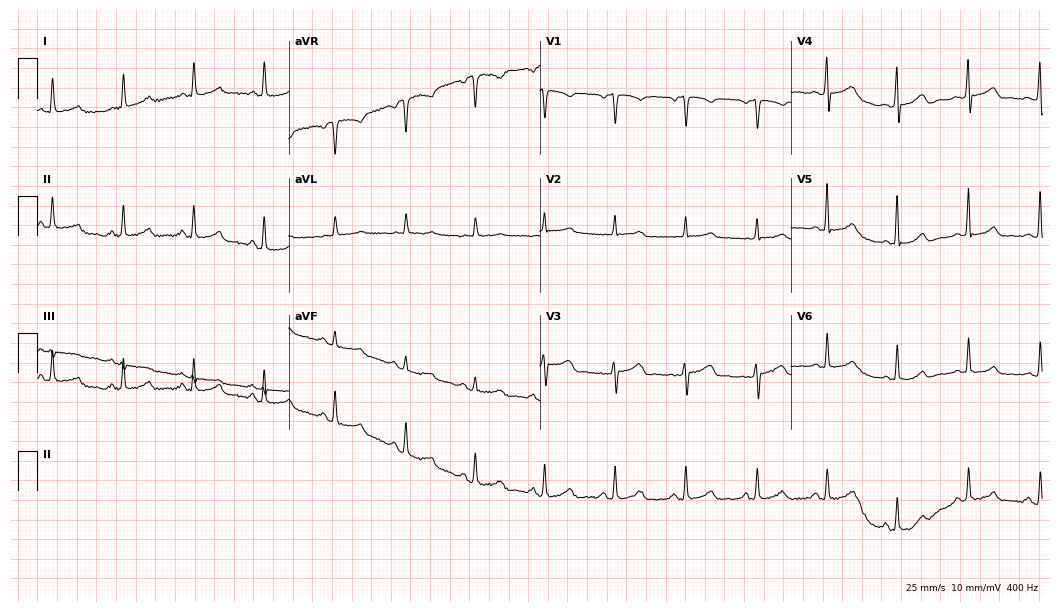
Resting 12-lead electrocardiogram. Patient: a 52-year-old female. Read as a normal ECG.